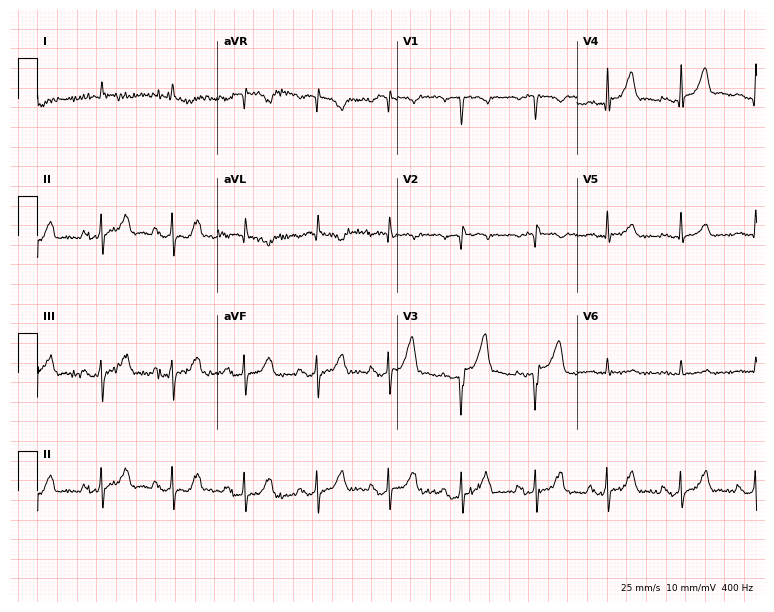
12-lead ECG from a 74-year-old male patient. Recorded interpretation: within normal limits.